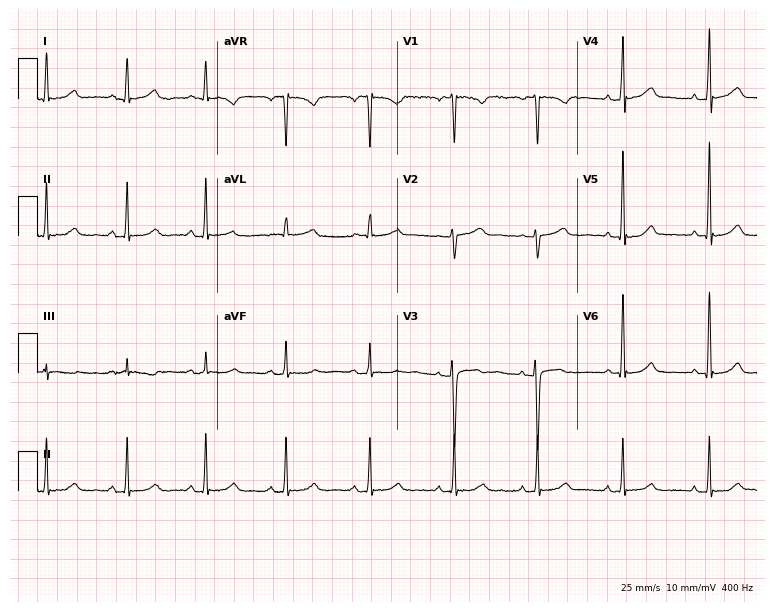
12-lead ECG from a 47-year-old woman. Labelled as a normal ECG.